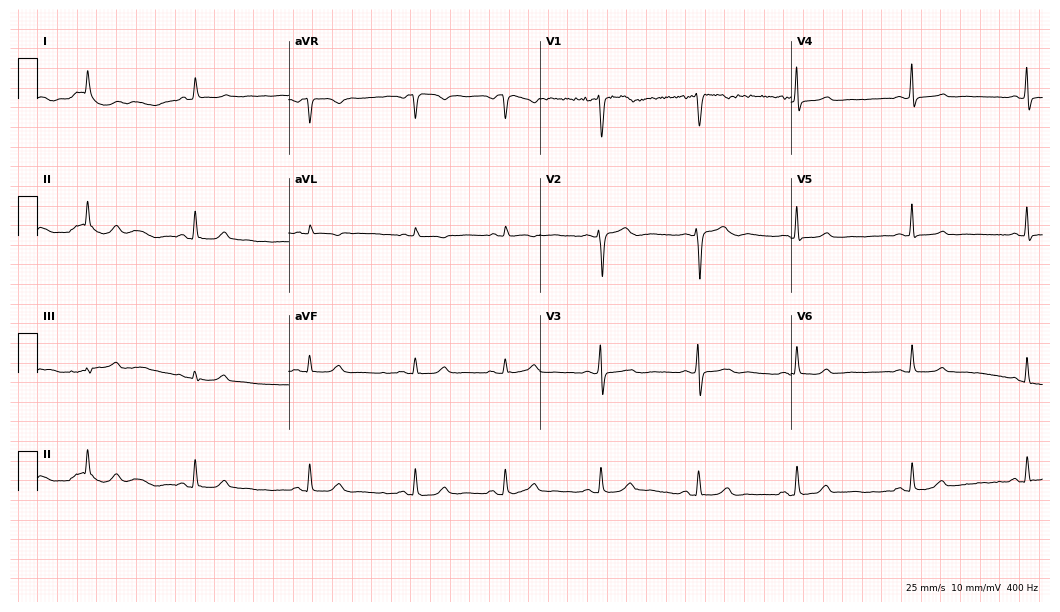
Electrocardiogram, a 37-year-old female. Of the six screened findings (first-degree AV block, right bundle branch block, left bundle branch block, sinus bradycardia, atrial fibrillation, sinus tachycardia), none is recorded. Other findings, if any, are not listed.